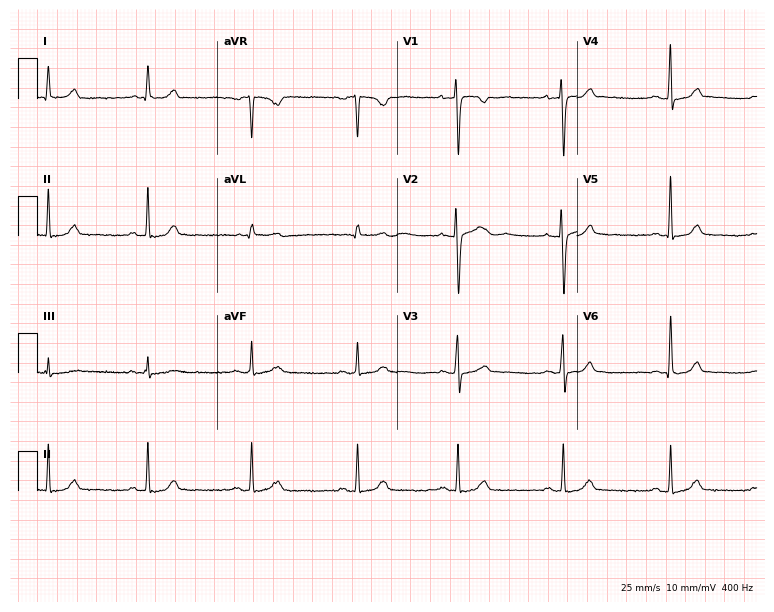
Resting 12-lead electrocardiogram (7.3-second recording at 400 Hz). Patient: a woman, 31 years old. Read as a normal ECG.